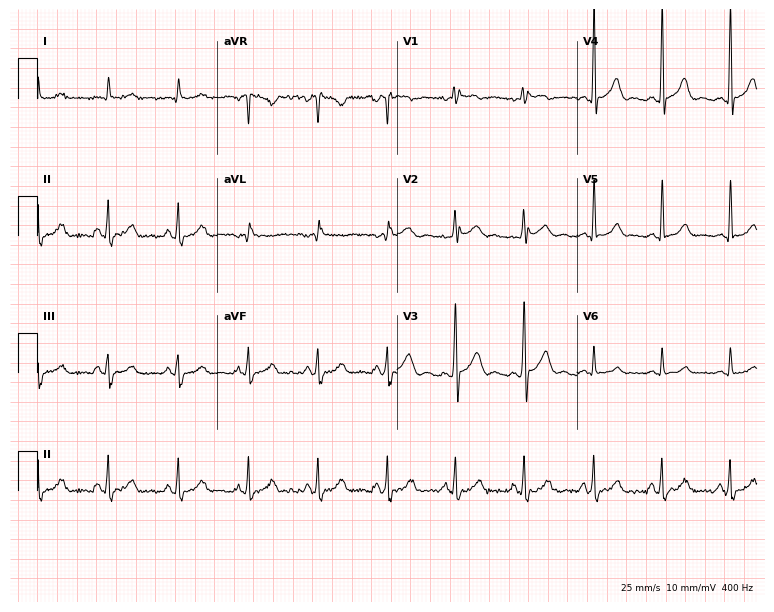
Electrocardiogram (7.3-second recording at 400 Hz), a male patient, 47 years old. Of the six screened findings (first-degree AV block, right bundle branch block, left bundle branch block, sinus bradycardia, atrial fibrillation, sinus tachycardia), none is recorded.